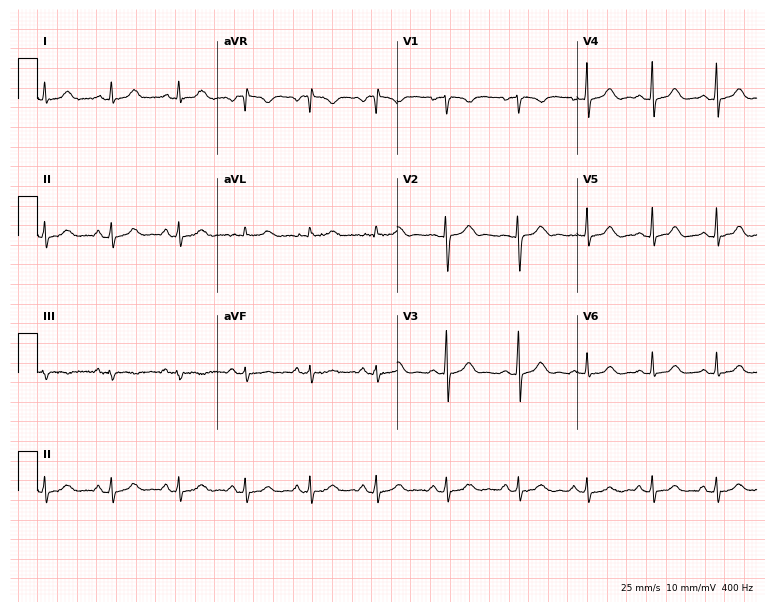
ECG (7.3-second recording at 400 Hz) — a 22-year-old woman. Labelled as a normal ECG.